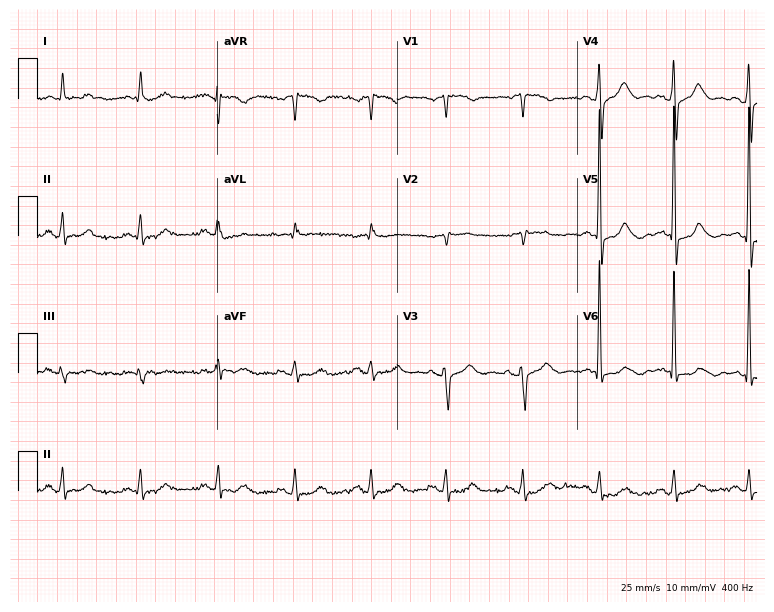
Resting 12-lead electrocardiogram (7.3-second recording at 400 Hz). Patient: a woman, 76 years old. Read as a normal ECG.